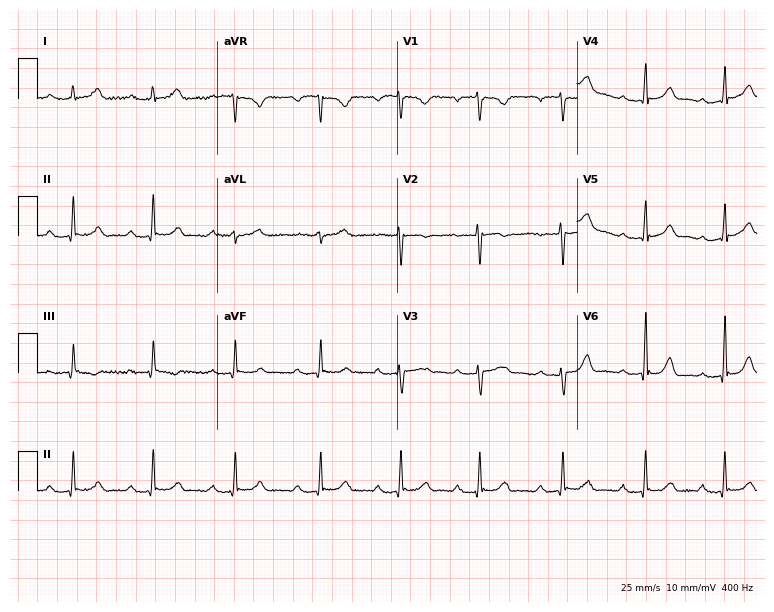
Resting 12-lead electrocardiogram. Patient: a female, 17 years old. Read as a normal ECG.